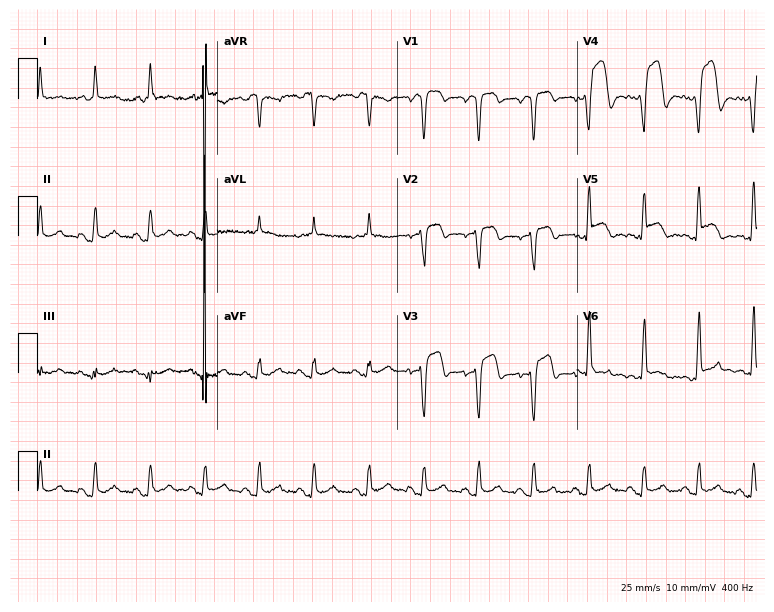
ECG (7.3-second recording at 400 Hz) — a 60-year-old male. Findings include sinus tachycardia (a sinus rate of 100 beats per minute or more).